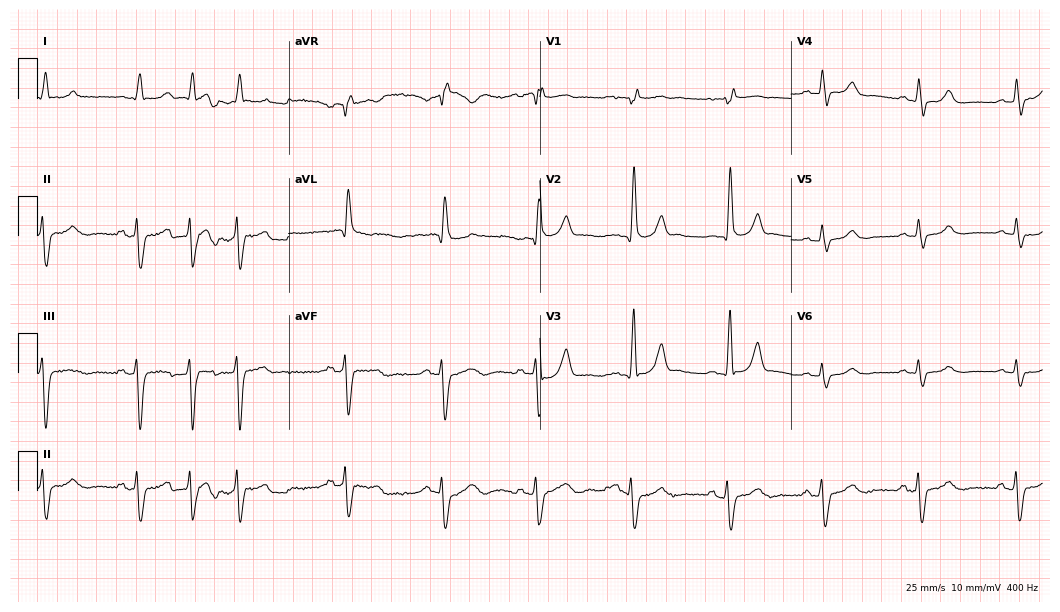
12-lead ECG from a 68-year-old female patient. No first-degree AV block, right bundle branch block (RBBB), left bundle branch block (LBBB), sinus bradycardia, atrial fibrillation (AF) or sinus tachycardia recorded for this tracing. Only these six findings were labelled.